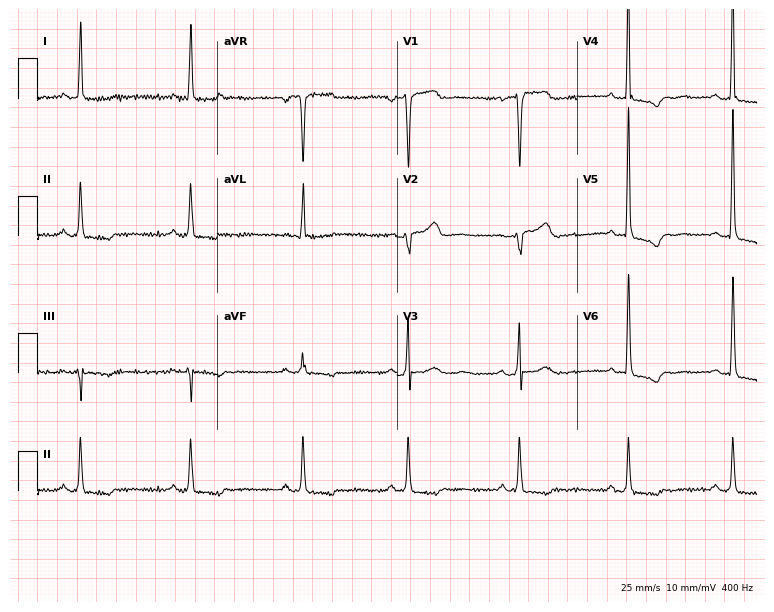
12-lead ECG from a female, 46 years old. No first-degree AV block, right bundle branch block, left bundle branch block, sinus bradycardia, atrial fibrillation or sinus tachycardia recorded for this tracing.